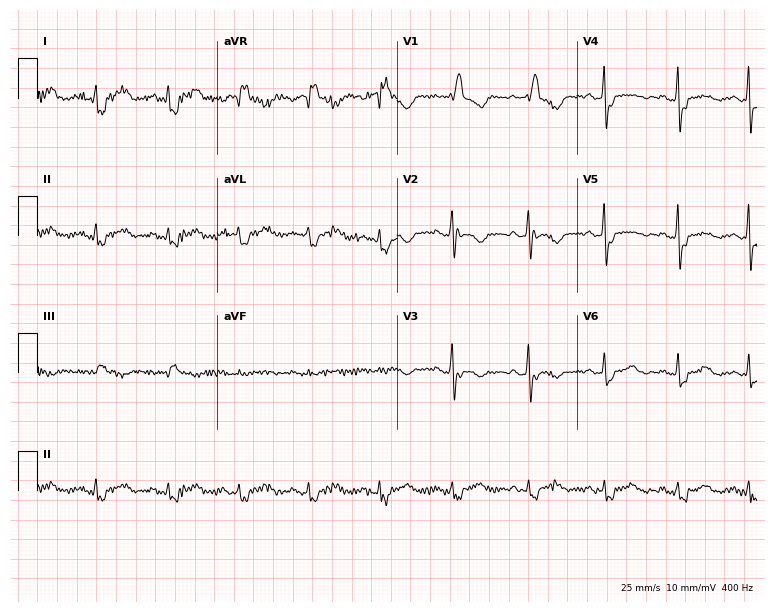
Electrocardiogram (7.3-second recording at 400 Hz), a woman, 42 years old. Interpretation includes right bundle branch block.